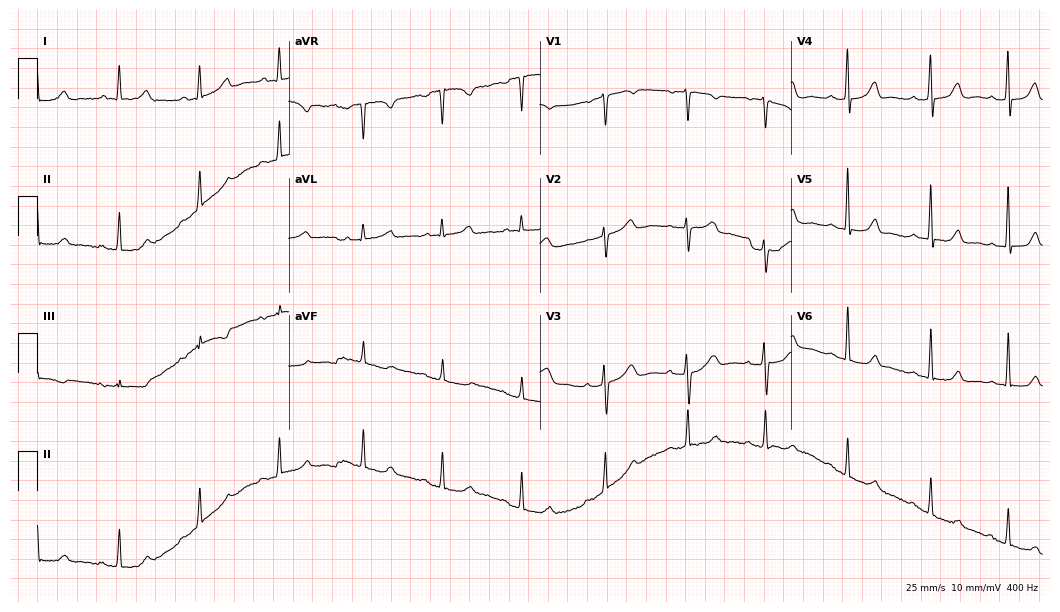
12-lead ECG from a woman, 42 years old. Labelled as a normal ECG.